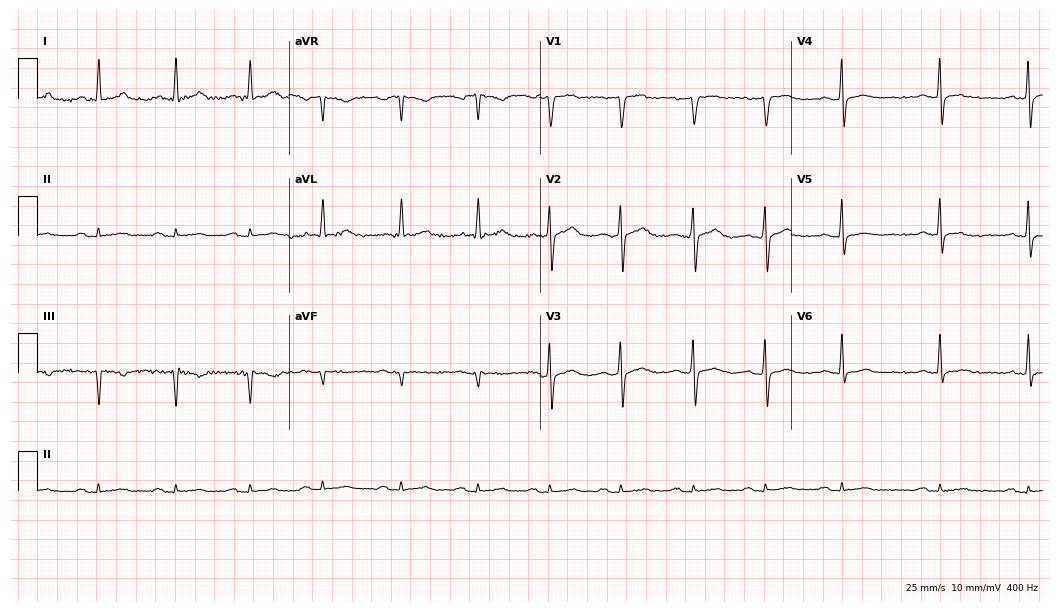
Standard 12-lead ECG recorded from a man, 68 years old (10.2-second recording at 400 Hz). None of these six findings is recorded: first-degree AV block, right bundle branch block (RBBB), left bundle branch block (LBBB), sinus bradycardia, atrial fibrillation (AF), sinus tachycardia.